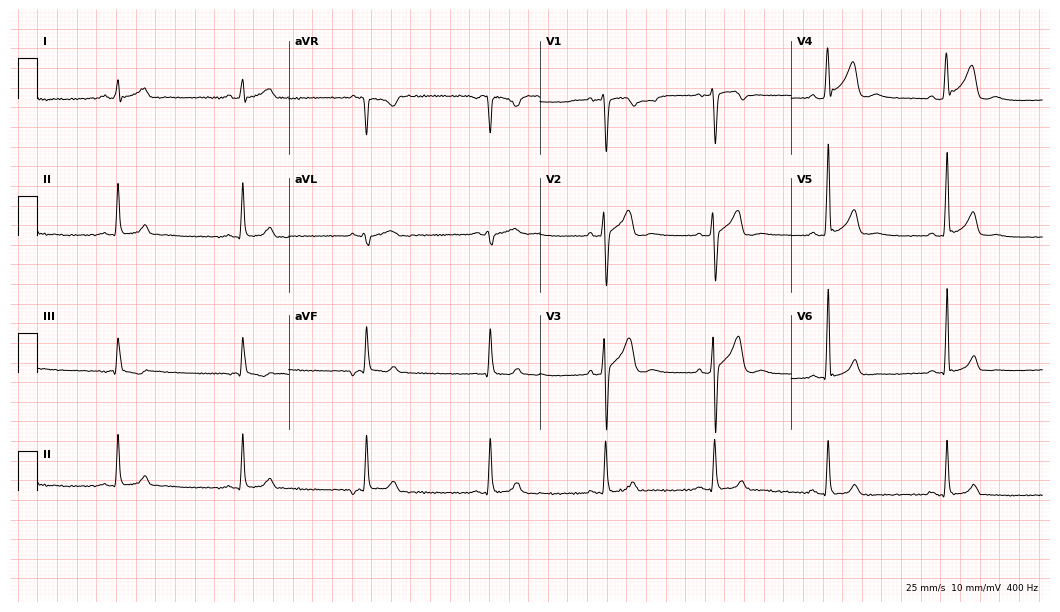
Electrocardiogram (10.2-second recording at 400 Hz), a 25-year-old male patient. Overall reading on record: normal ECG.